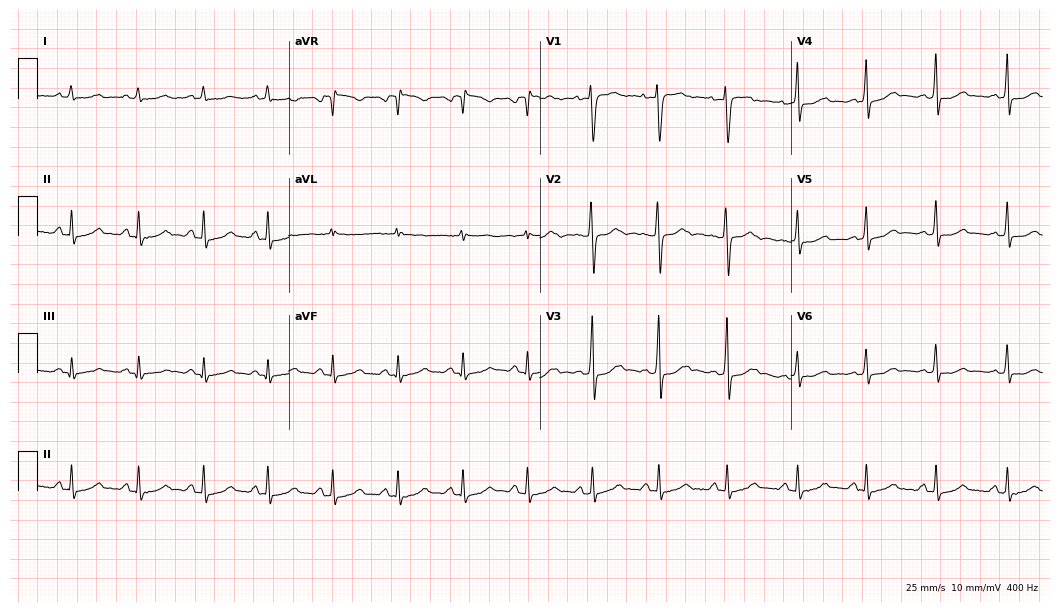
12-lead ECG from a woman, 17 years old. Screened for six findings — first-degree AV block, right bundle branch block, left bundle branch block, sinus bradycardia, atrial fibrillation, sinus tachycardia — none is recorded.